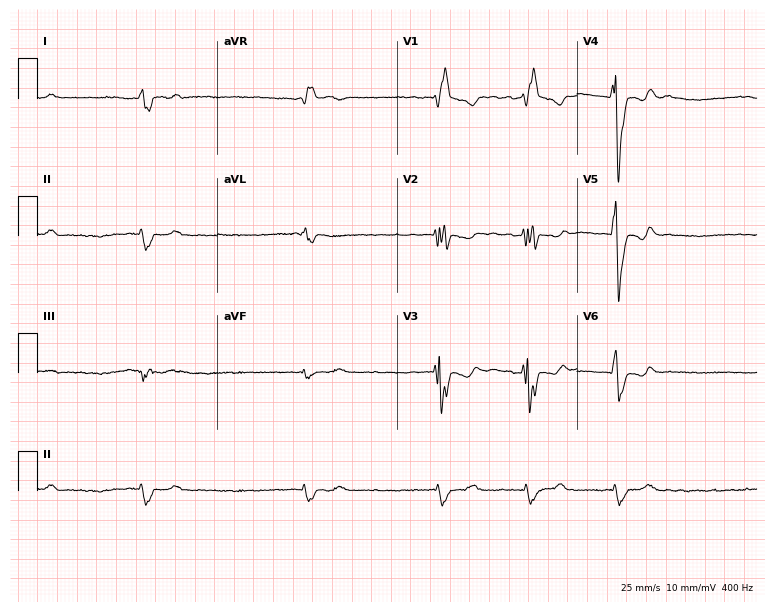
ECG (7.3-second recording at 400 Hz) — a 66-year-old man. Findings include right bundle branch block, atrial fibrillation.